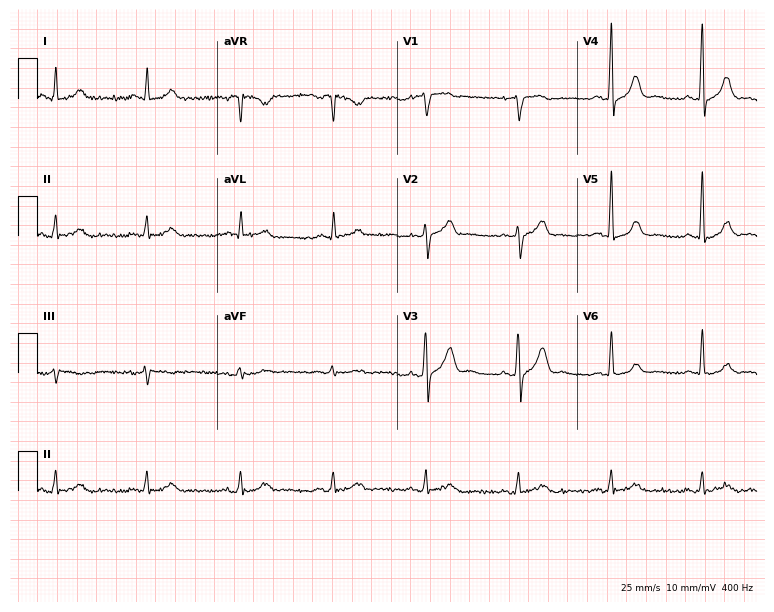
ECG (7.3-second recording at 400 Hz) — a 53-year-old woman. Labelled as a normal ECG.